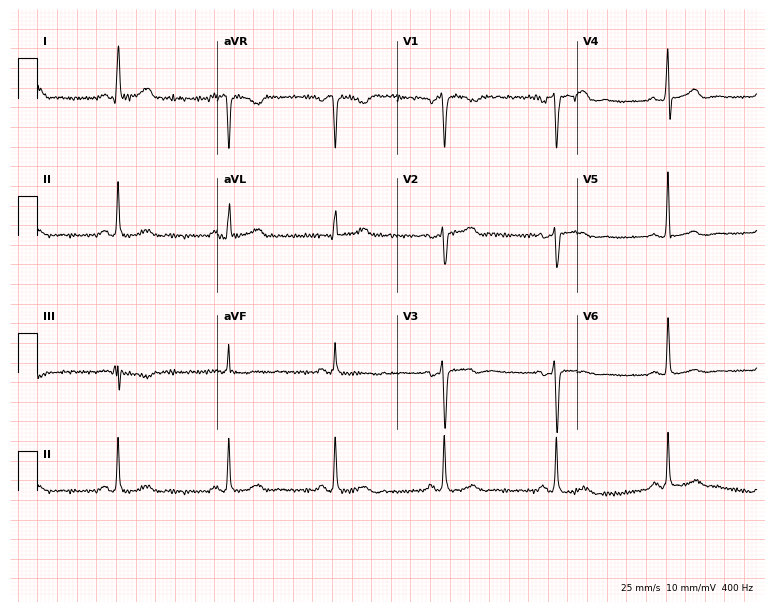
ECG — a female, 53 years old. Screened for six findings — first-degree AV block, right bundle branch block (RBBB), left bundle branch block (LBBB), sinus bradycardia, atrial fibrillation (AF), sinus tachycardia — none is recorded. Other findings, if any, are not listed.